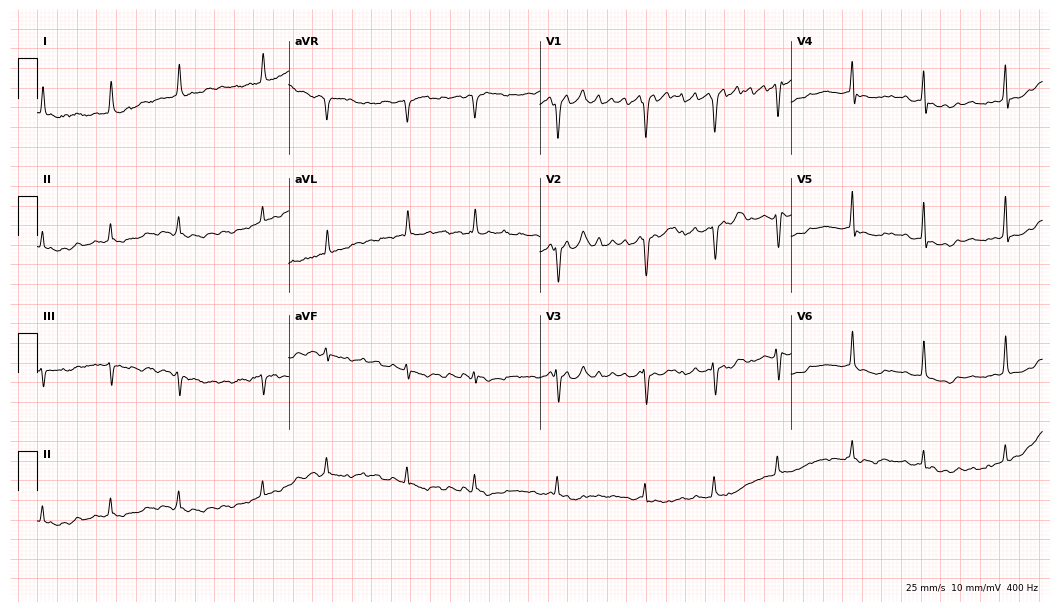
Standard 12-lead ECG recorded from a female, 78 years old. The tracing shows atrial fibrillation.